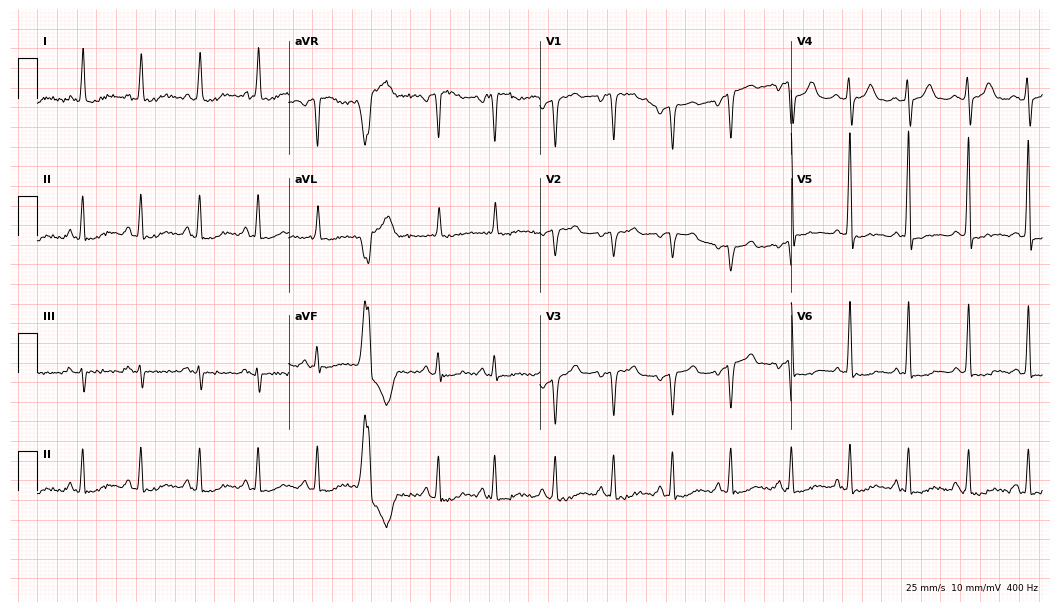
12-lead ECG from a 77-year-old female. Findings include sinus tachycardia (a sinus rate of 100 beats per minute or more).